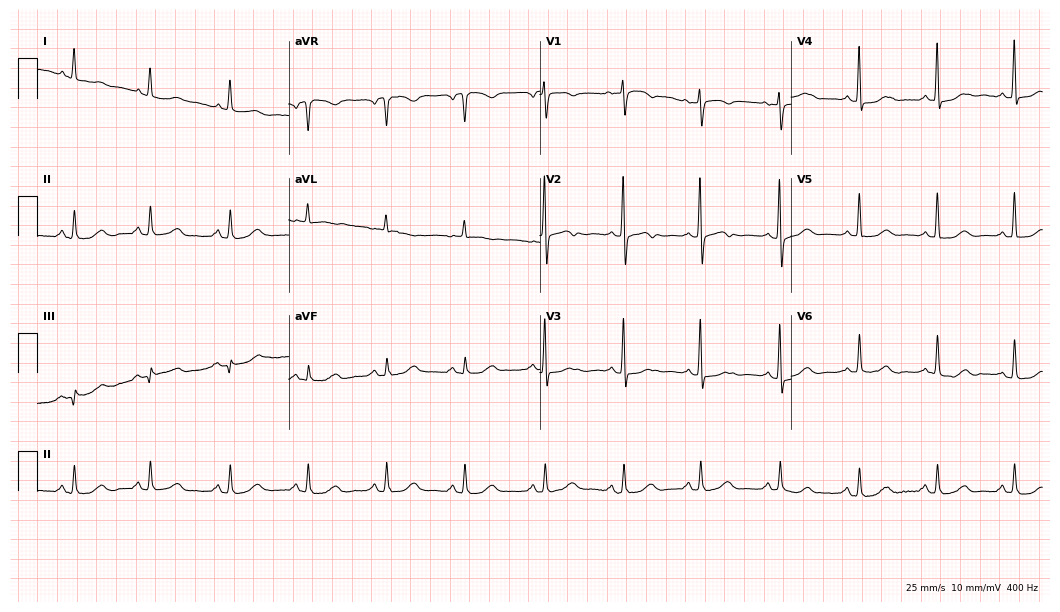
12-lead ECG (10.2-second recording at 400 Hz) from a 77-year-old female patient. Labelled as a normal ECG.